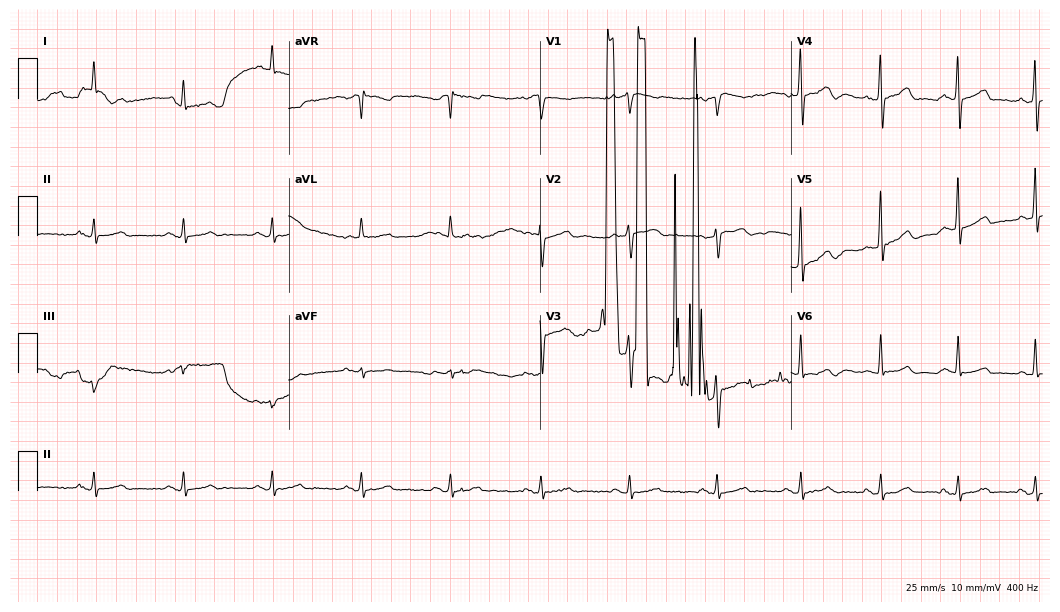
Electrocardiogram (10.2-second recording at 400 Hz), a man, 79 years old. Of the six screened findings (first-degree AV block, right bundle branch block (RBBB), left bundle branch block (LBBB), sinus bradycardia, atrial fibrillation (AF), sinus tachycardia), none is recorded. Findings outside these six are not listed.